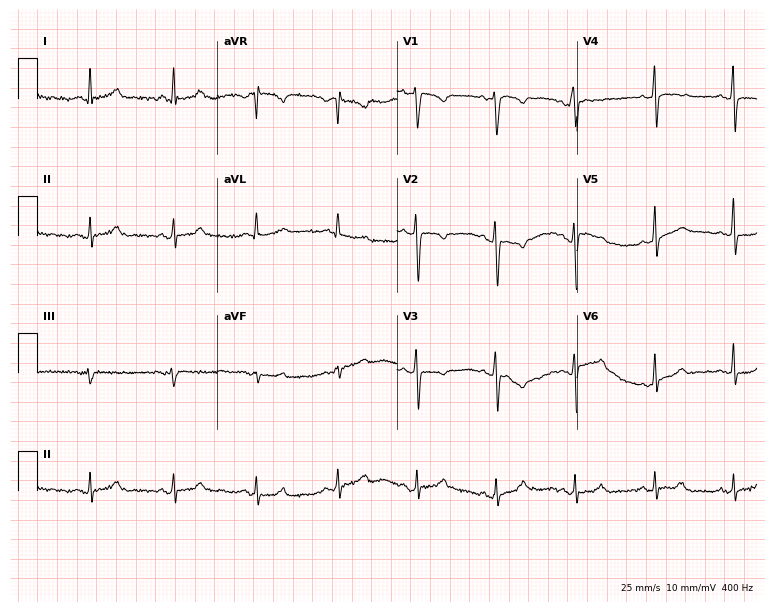
12-lead ECG from a 44-year-old female (7.3-second recording at 400 Hz). No first-degree AV block, right bundle branch block, left bundle branch block, sinus bradycardia, atrial fibrillation or sinus tachycardia recorded for this tracing.